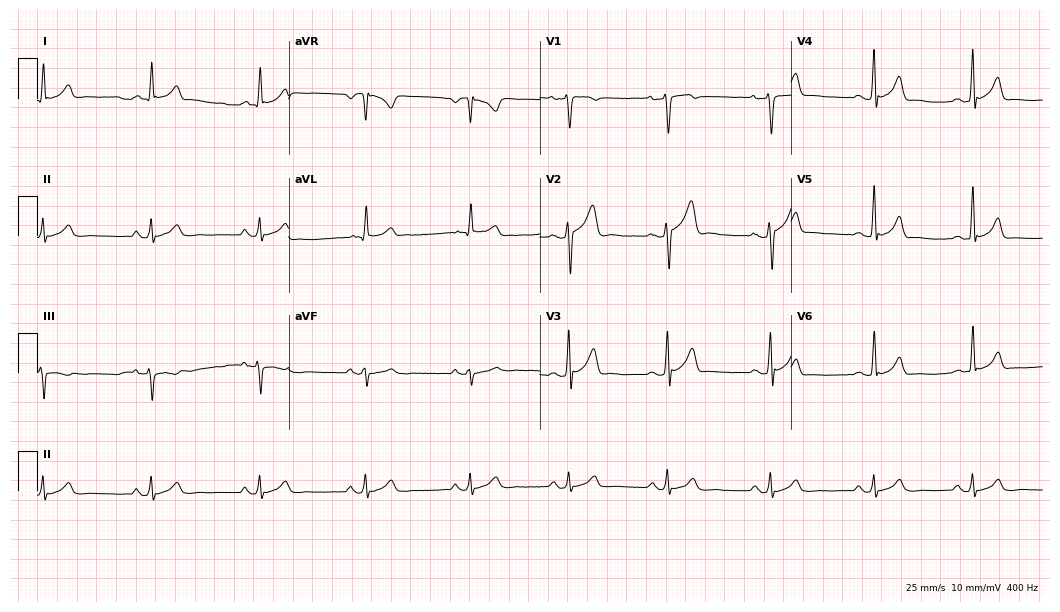
ECG (10.2-second recording at 400 Hz) — a 38-year-old man. Labelled as a normal ECG.